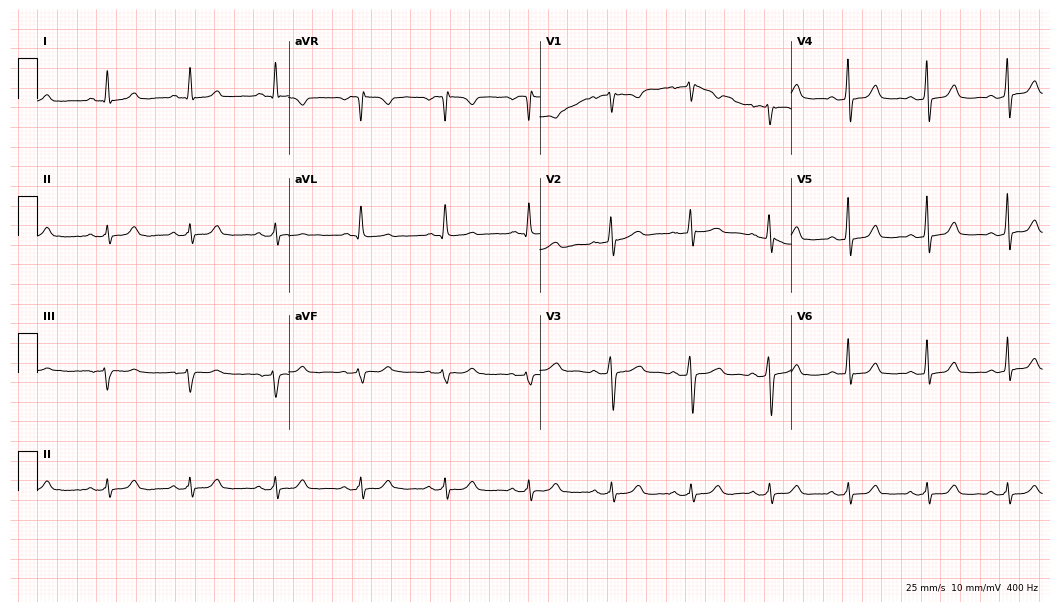
Resting 12-lead electrocardiogram. Patient: a 52-year-old female. Read as a normal ECG.